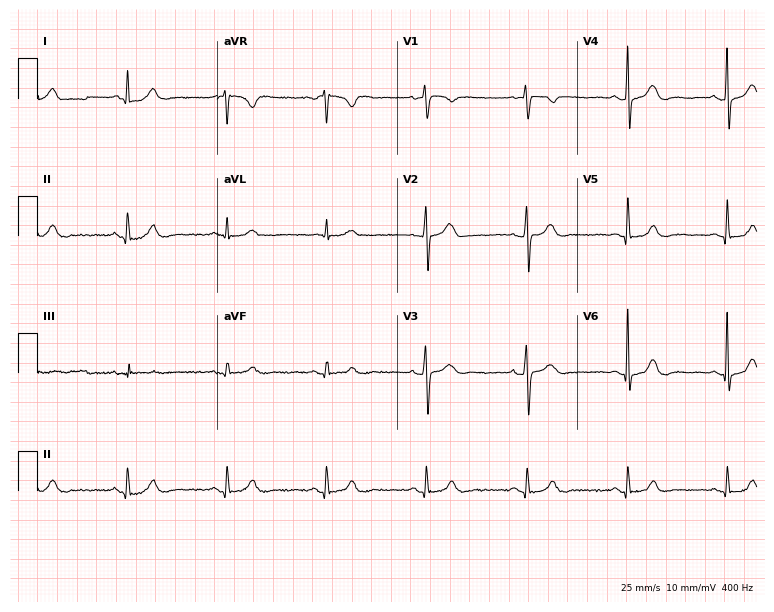
Resting 12-lead electrocardiogram. Patient: a 63-year-old female. Read as a normal ECG.